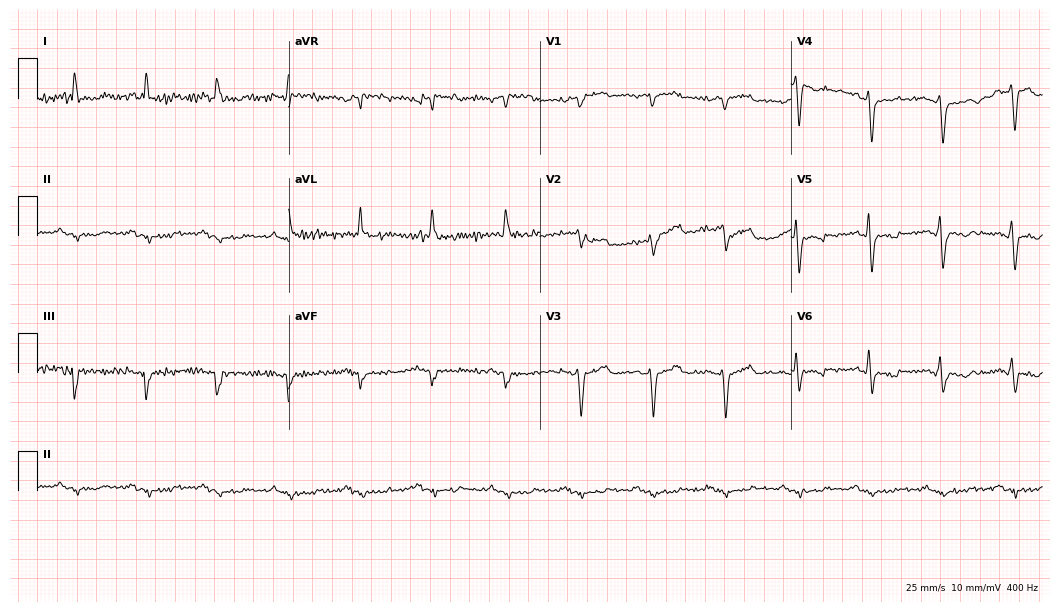
ECG (10.2-second recording at 400 Hz) — a 70-year-old male patient. Screened for six findings — first-degree AV block, right bundle branch block, left bundle branch block, sinus bradycardia, atrial fibrillation, sinus tachycardia — none is recorded.